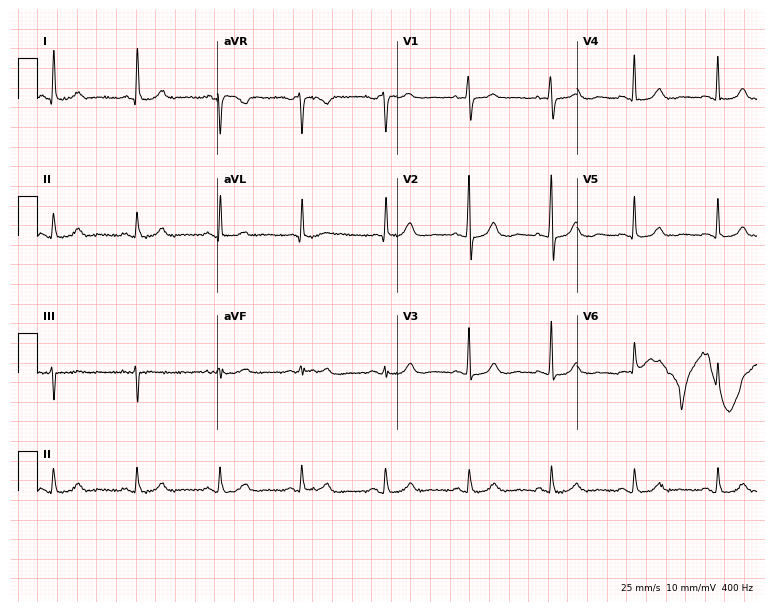
12-lead ECG (7.3-second recording at 400 Hz) from a female, 78 years old. Labelled as a normal ECG.